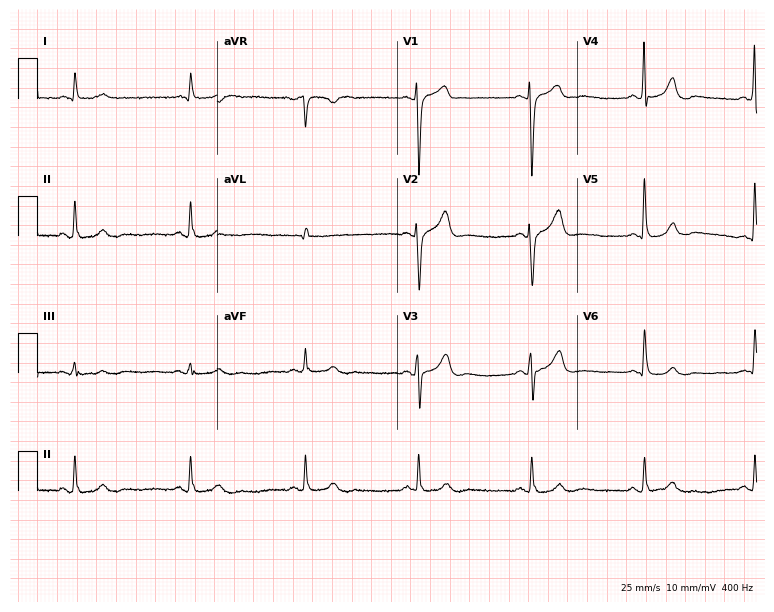
ECG — a male patient, 69 years old. Screened for six findings — first-degree AV block, right bundle branch block (RBBB), left bundle branch block (LBBB), sinus bradycardia, atrial fibrillation (AF), sinus tachycardia — none is recorded. Only these six findings were labelled.